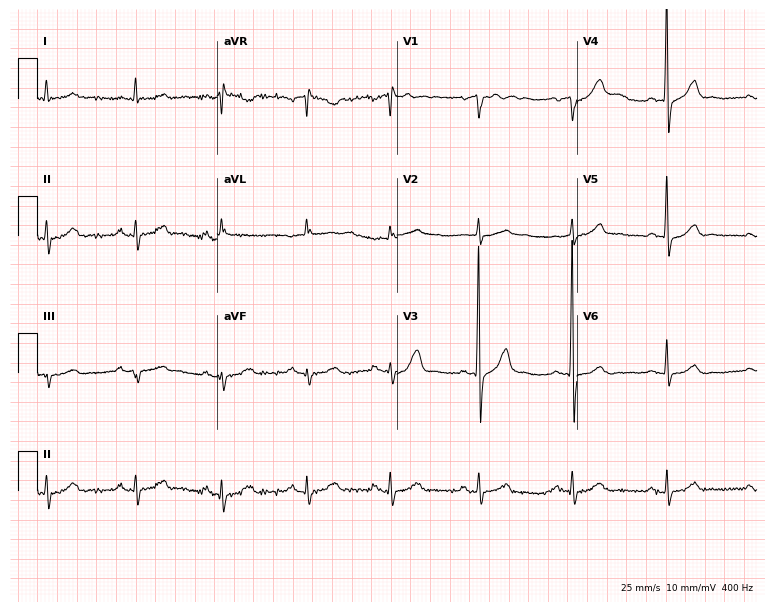
12-lead ECG from a 66-year-old man. Screened for six findings — first-degree AV block, right bundle branch block, left bundle branch block, sinus bradycardia, atrial fibrillation, sinus tachycardia — none is recorded. Only these six findings were labelled.